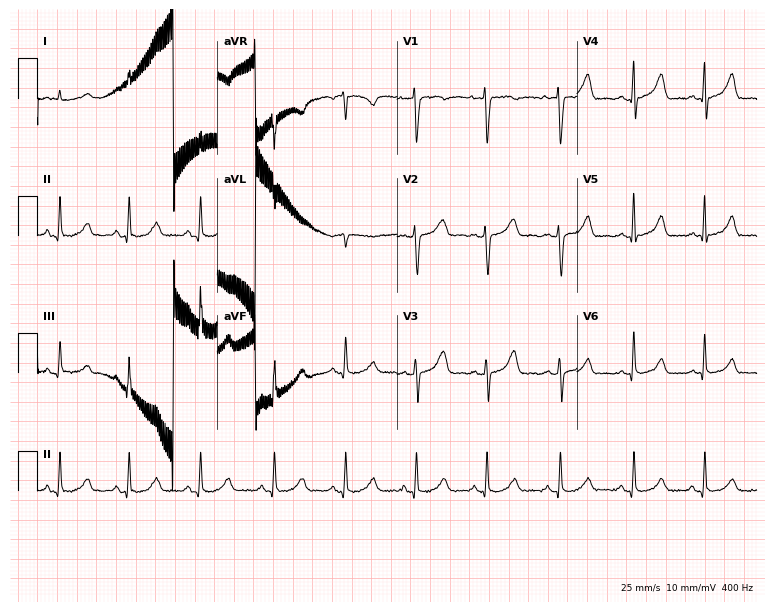
12-lead ECG from a woman, 47 years old. Recorded interpretation: within normal limits.